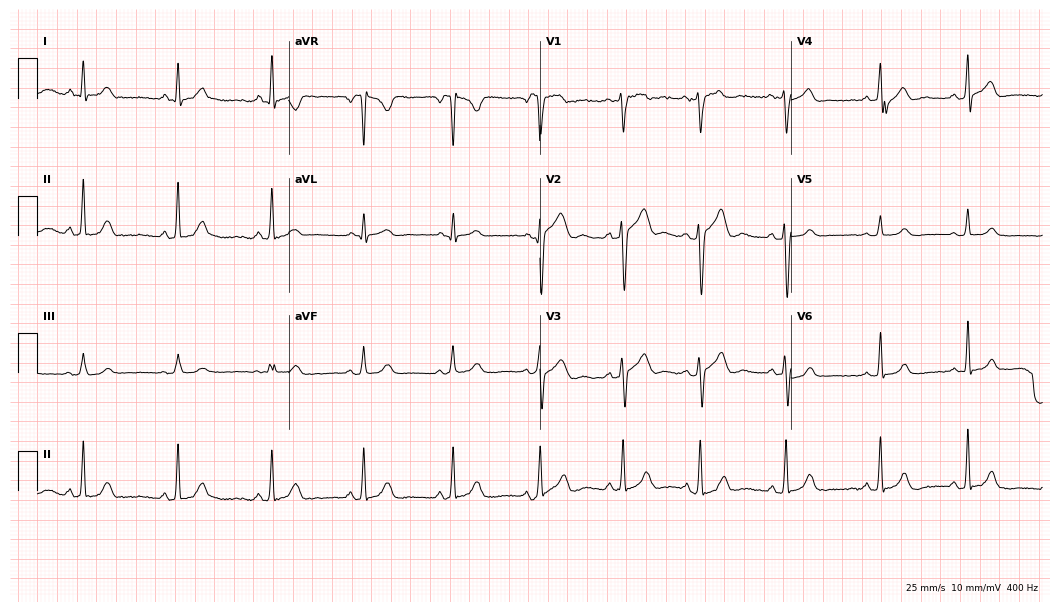
Standard 12-lead ECG recorded from a 30-year-old man. Read as a normal ECG.